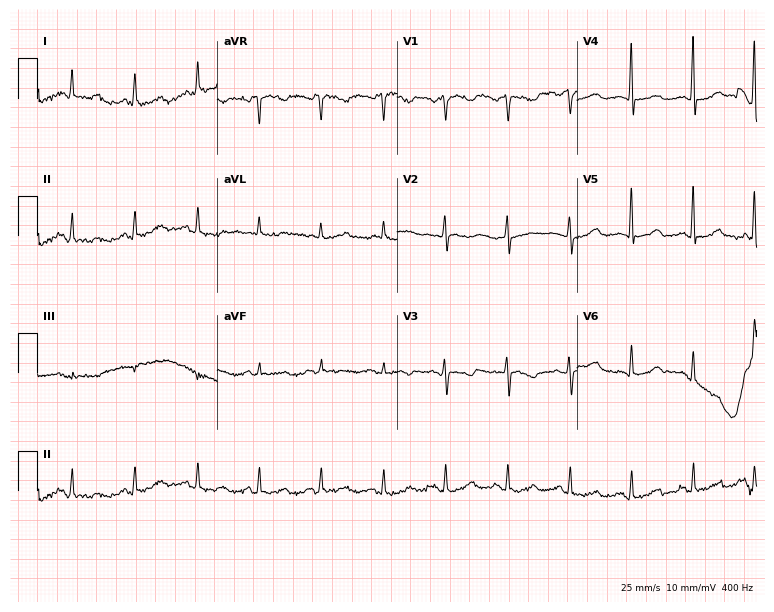
ECG (7.3-second recording at 400 Hz) — a 44-year-old female. Screened for six findings — first-degree AV block, right bundle branch block, left bundle branch block, sinus bradycardia, atrial fibrillation, sinus tachycardia — none is recorded.